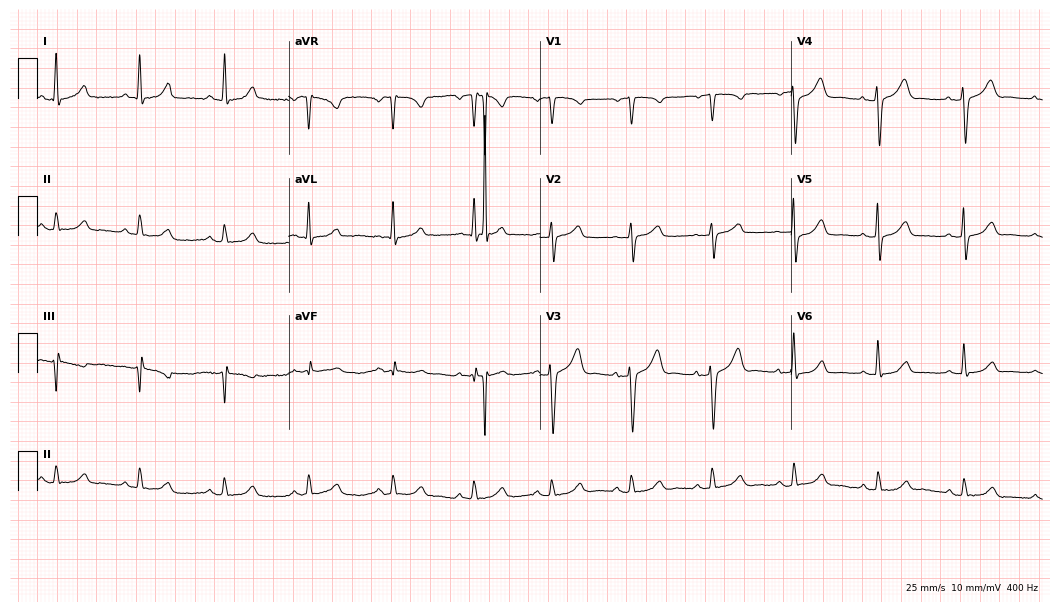
Resting 12-lead electrocardiogram. Patient: a 68-year-old female. Read as a normal ECG.